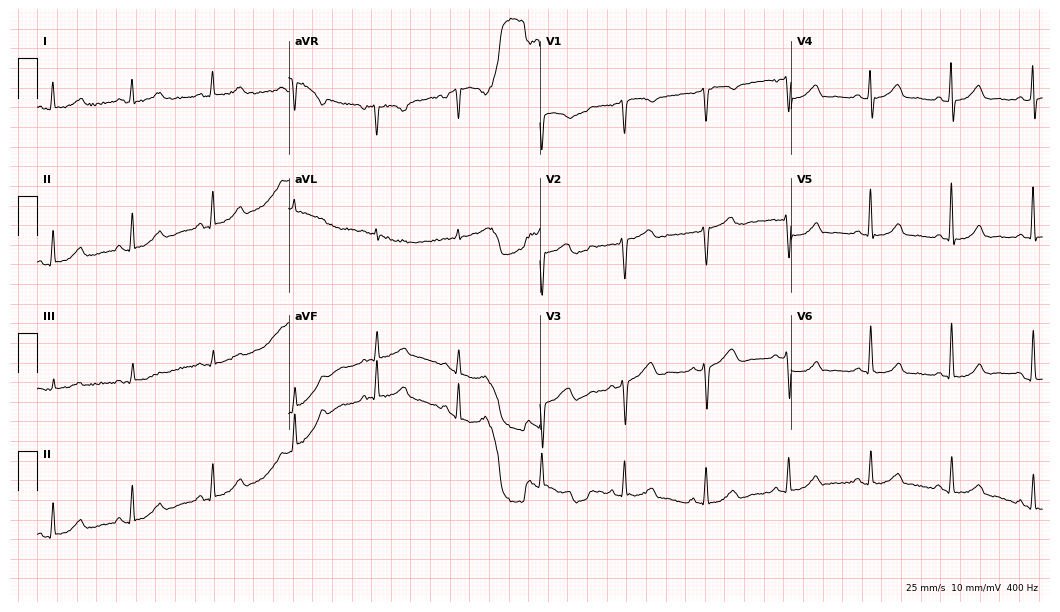
Standard 12-lead ECG recorded from a female patient, 50 years old. Read as a normal ECG.